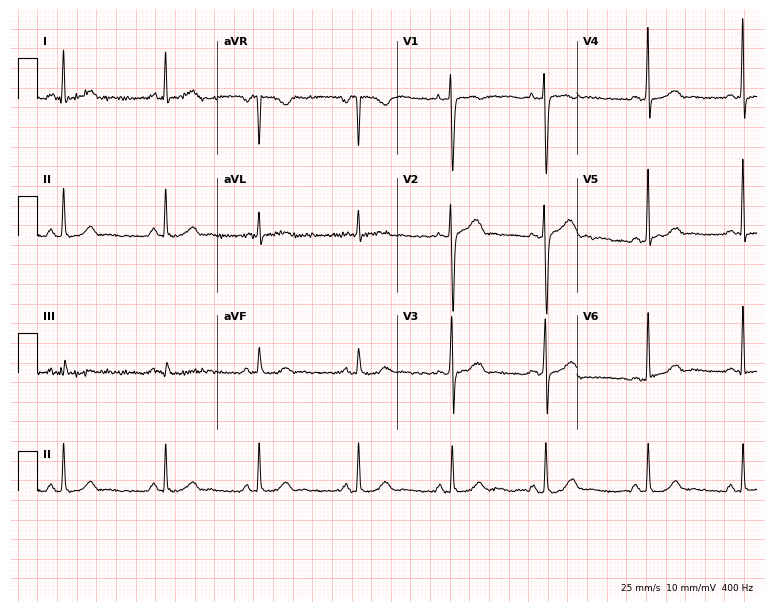
12-lead ECG from a 26-year-old female (7.3-second recording at 400 Hz). No first-degree AV block, right bundle branch block, left bundle branch block, sinus bradycardia, atrial fibrillation or sinus tachycardia recorded for this tracing.